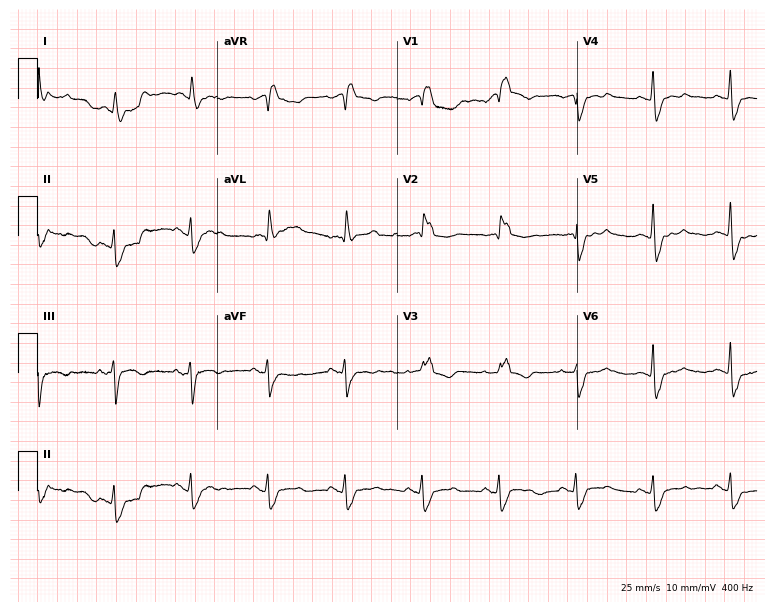
12-lead ECG from a female, 74 years old. Shows right bundle branch block.